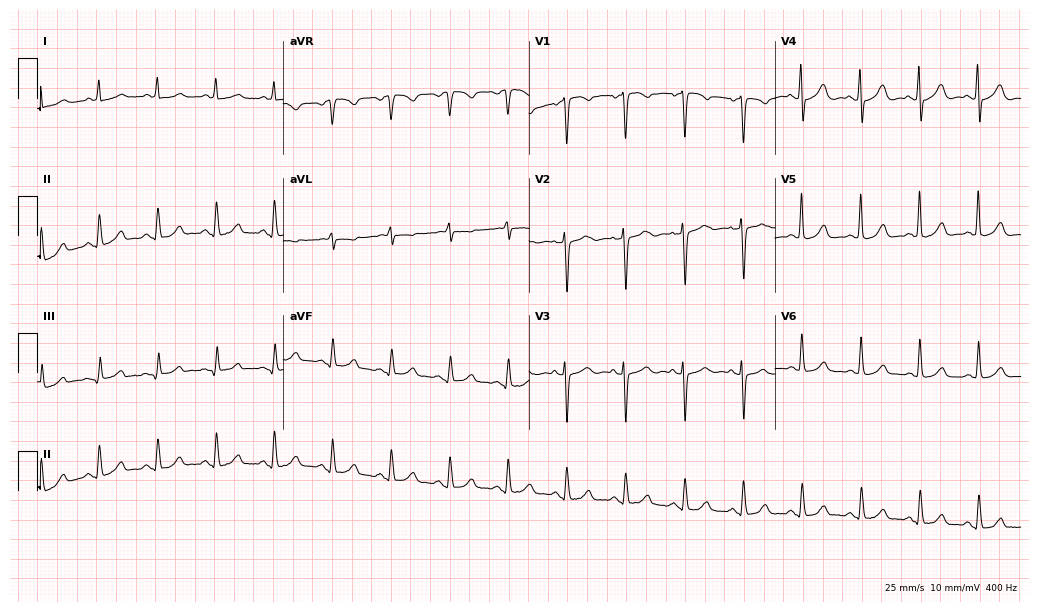
12-lead ECG from a 78-year-old female. Recorded interpretation: within normal limits.